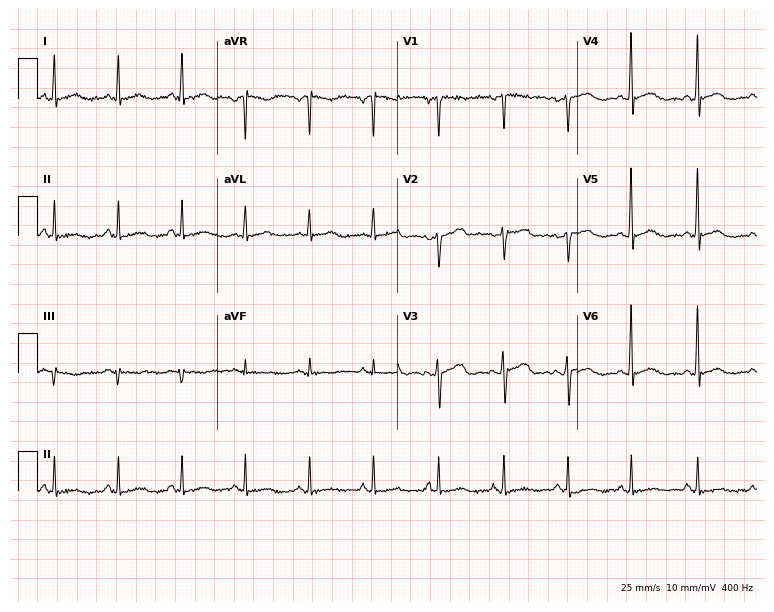
12-lead ECG from a female, 47 years old. Recorded interpretation: within normal limits.